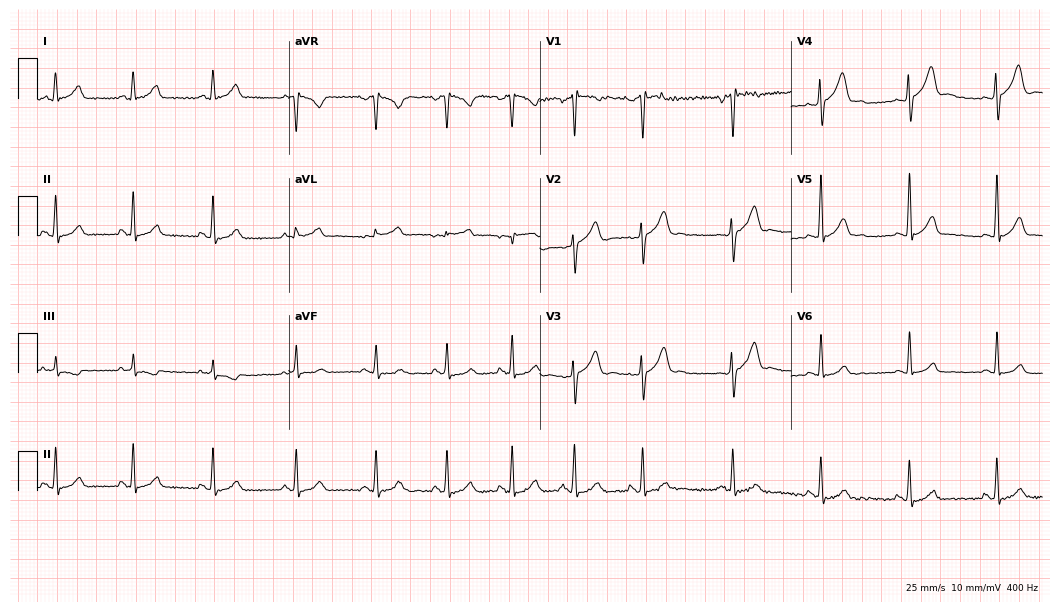
Resting 12-lead electrocardiogram. Patient: a male, 23 years old. Read as a normal ECG.